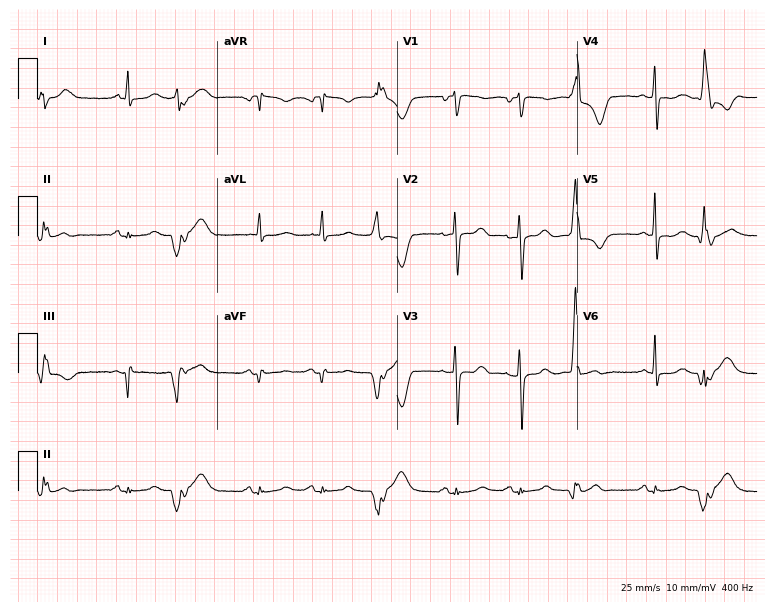
12-lead ECG from a woman, 61 years old. Screened for six findings — first-degree AV block, right bundle branch block, left bundle branch block, sinus bradycardia, atrial fibrillation, sinus tachycardia — none is recorded. Findings outside these six are not listed.